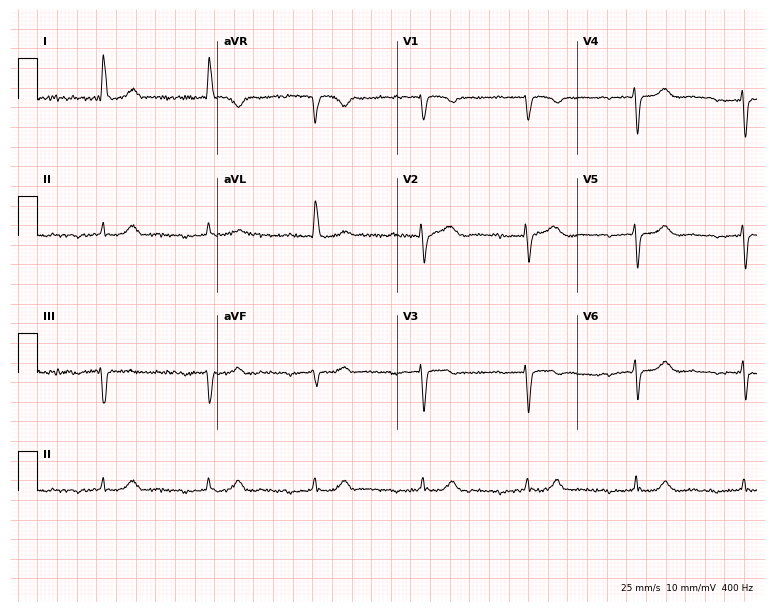
Resting 12-lead electrocardiogram. Patient: an 84-year-old female. The tracing shows first-degree AV block.